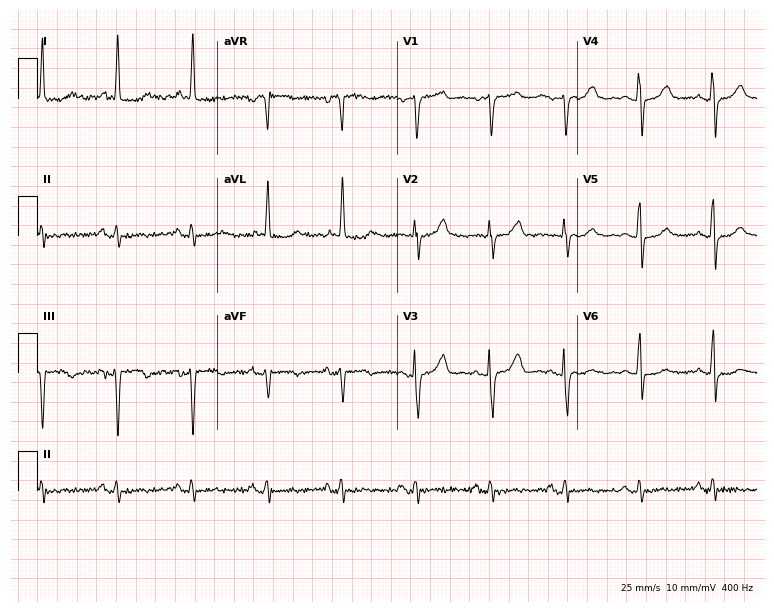
Electrocardiogram (7.3-second recording at 400 Hz), a female patient, 58 years old. Of the six screened findings (first-degree AV block, right bundle branch block (RBBB), left bundle branch block (LBBB), sinus bradycardia, atrial fibrillation (AF), sinus tachycardia), none is recorded. Only these six findings were labelled.